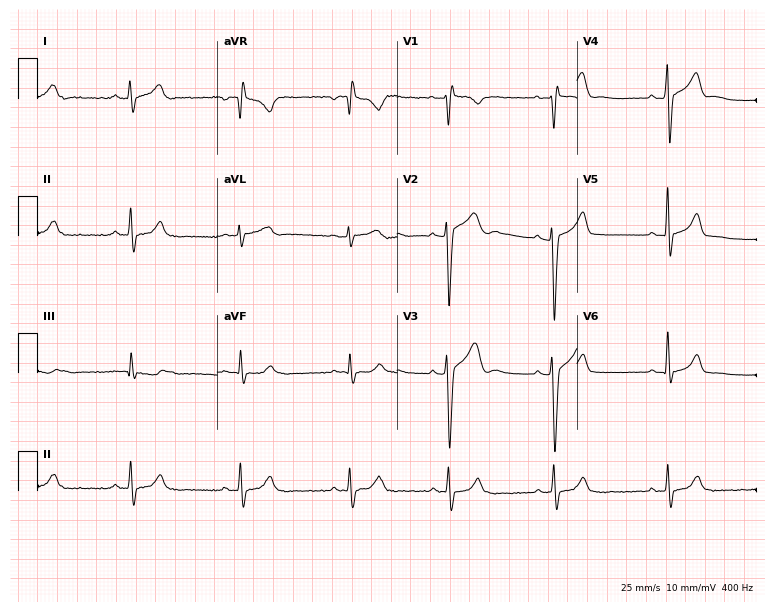
12-lead ECG from a 20-year-old male (7.3-second recording at 400 Hz). No first-degree AV block, right bundle branch block, left bundle branch block, sinus bradycardia, atrial fibrillation or sinus tachycardia recorded for this tracing.